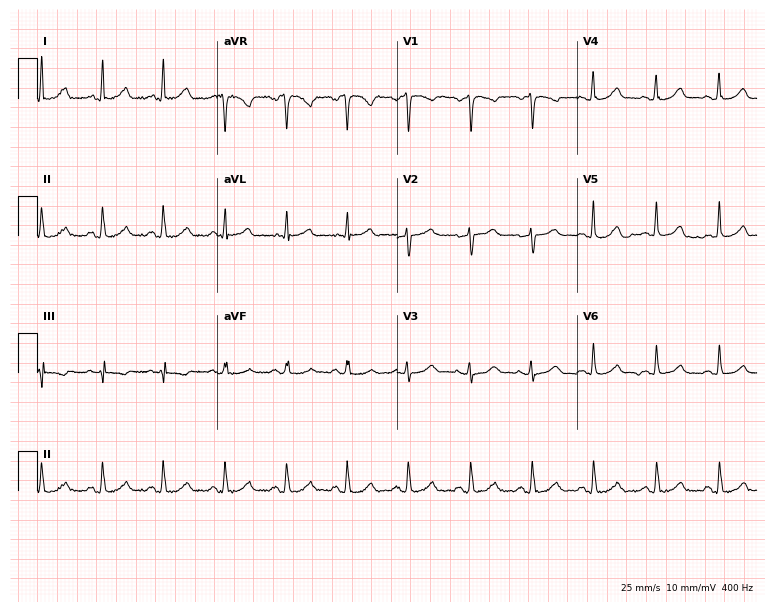
12-lead ECG (7.3-second recording at 400 Hz) from a female, 39 years old. Labelled as a normal ECG.